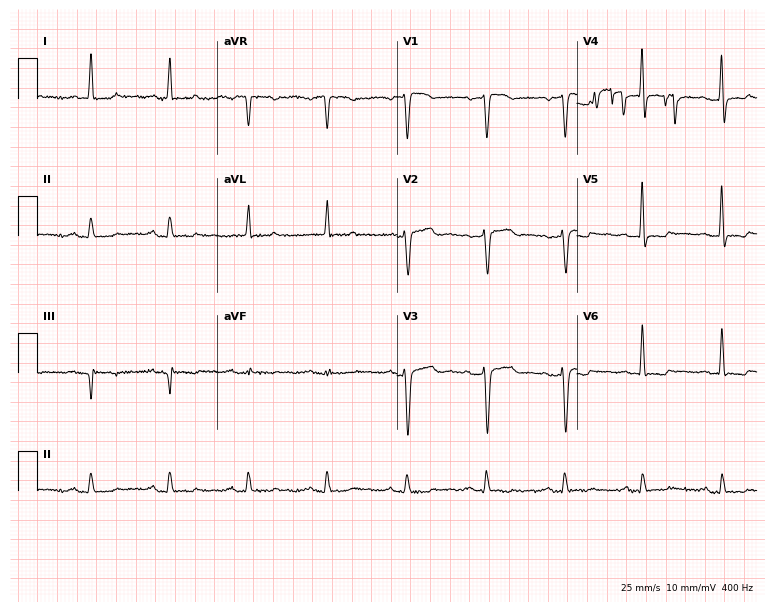
Resting 12-lead electrocardiogram (7.3-second recording at 400 Hz). Patient: a 54-year-old man. None of these six findings is recorded: first-degree AV block, right bundle branch block, left bundle branch block, sinus bradycardia, atrial fibrillation, sinus tachycardia. Findings outside these six are not listed.